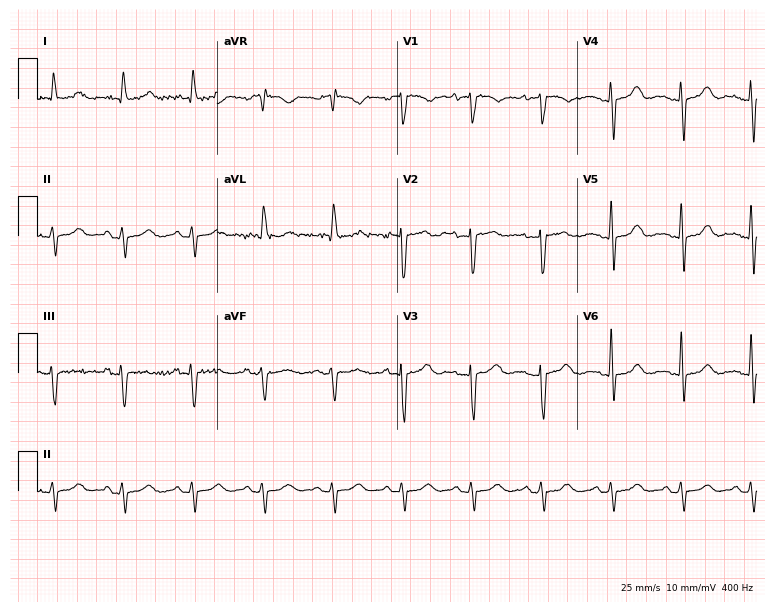
12-lead ECG from a 69-year-old female. Screened for six findings — first-degree AV block, right bundle branch block, left bundle branch block, sinus bradycardia, atrial fibrillation, sinus tachycardia — none is recorded. Only these six findings were labelled.